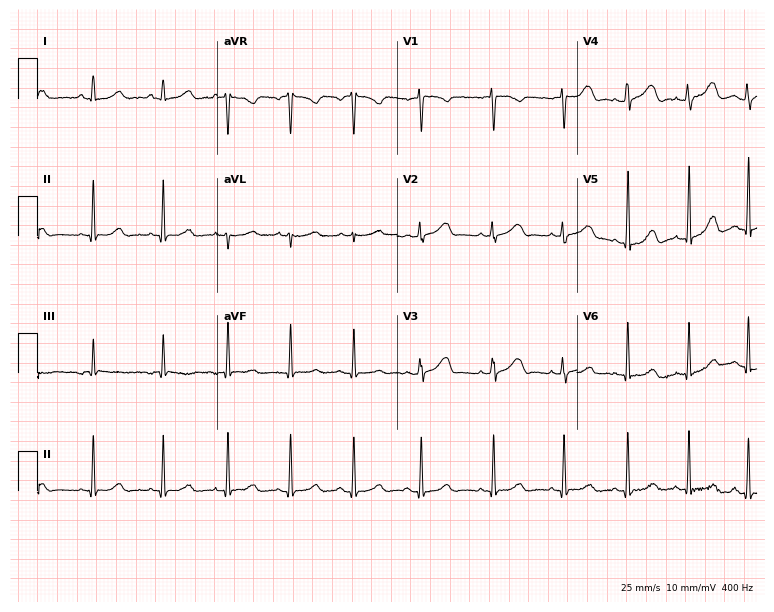
ECG — a female, 18 years old. Labelled as a normal ECG.